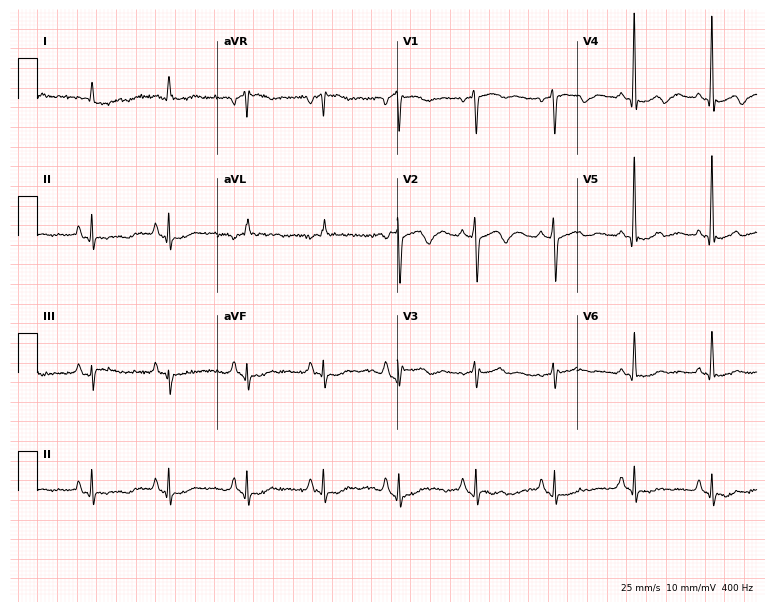
Electrocardiogram, a 61-year-old female. Of the six screened findings (first-degree AV block, right bundle branch block, left bundle branch block, sinus bradycardia, atrial fibrillation, sinus tachycardia), none is recorded.